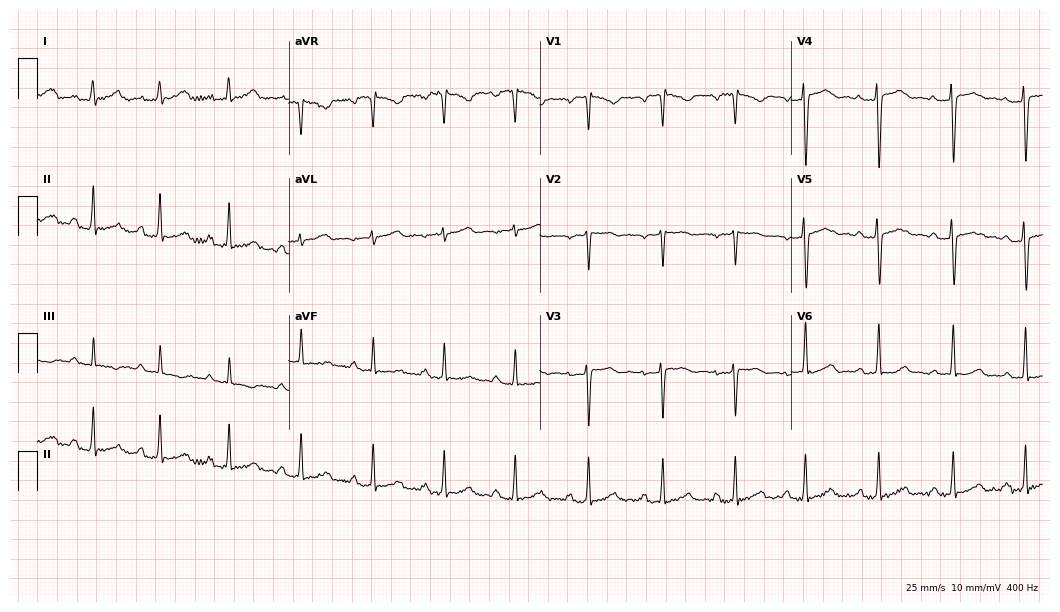
12-lead ECG from a female patient, 31 years old. Labelled as a normal ECG.